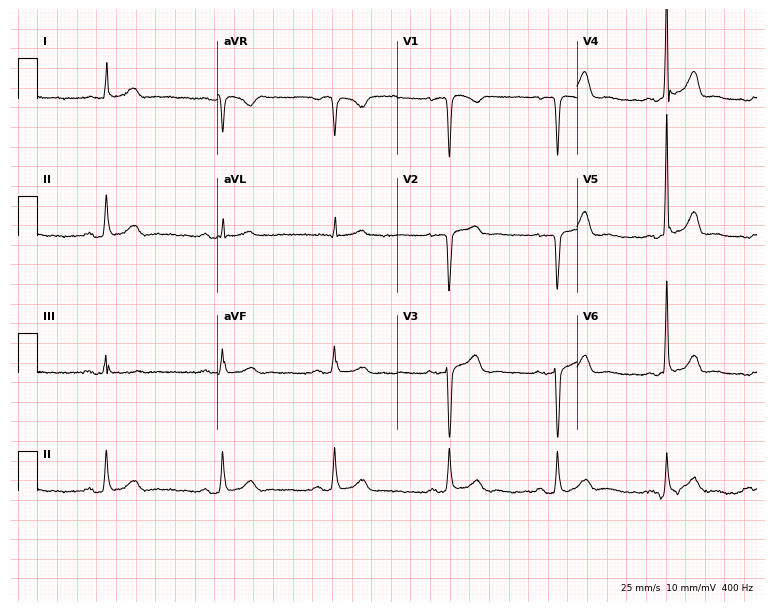
12-lead ECG (7.3-second recording at 400 Hz) from a 51-year-old man. Screened for six findings — first-degree AV block, right bundle branch block, left bundle branch block, sinus bradycardia, atrial fibrillation, sinus tachycardia — none is recorded.